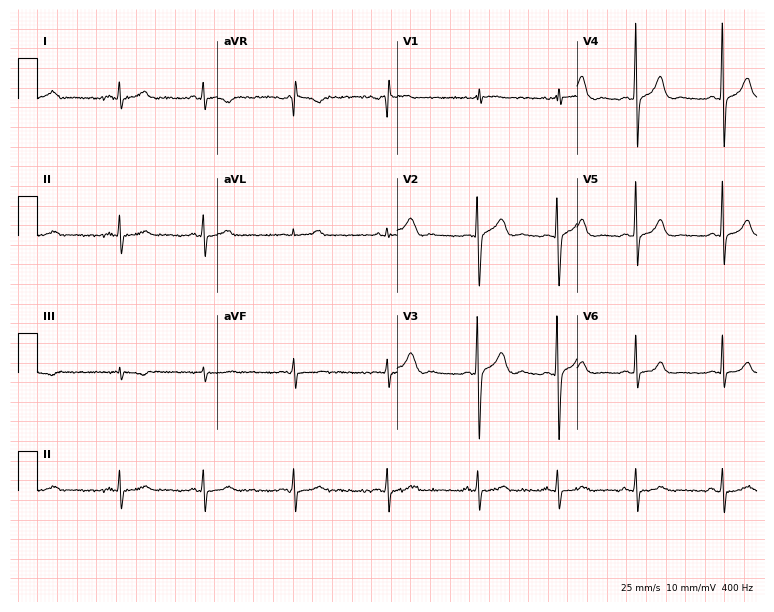
Standard 12-lead ECG recorded from a female patient, 17 years old. Read as a normal ECG.